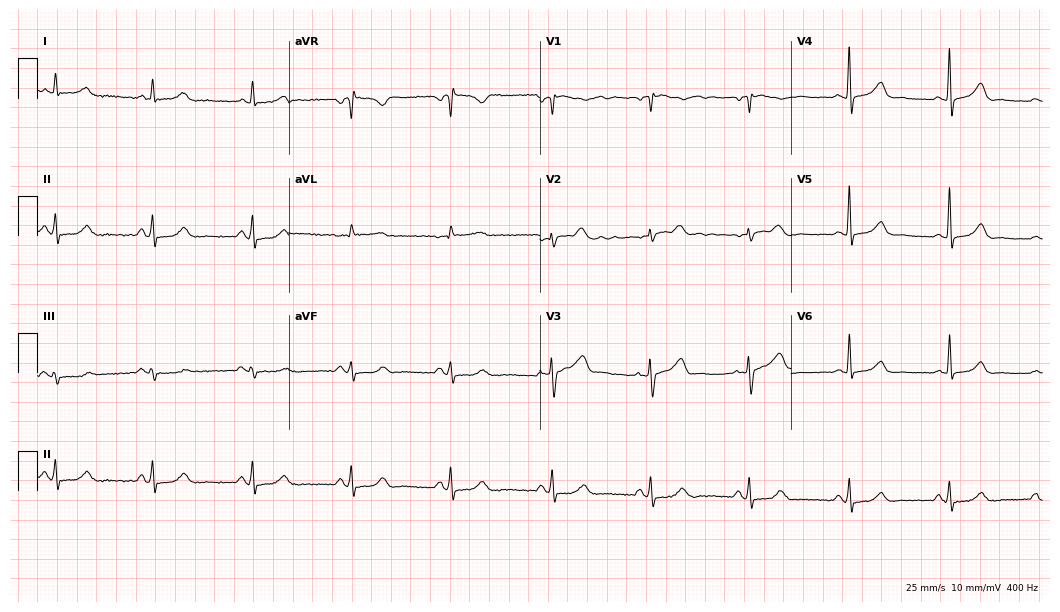
ECG — a 64-year-old female patient. Labelled as a normal ECG.